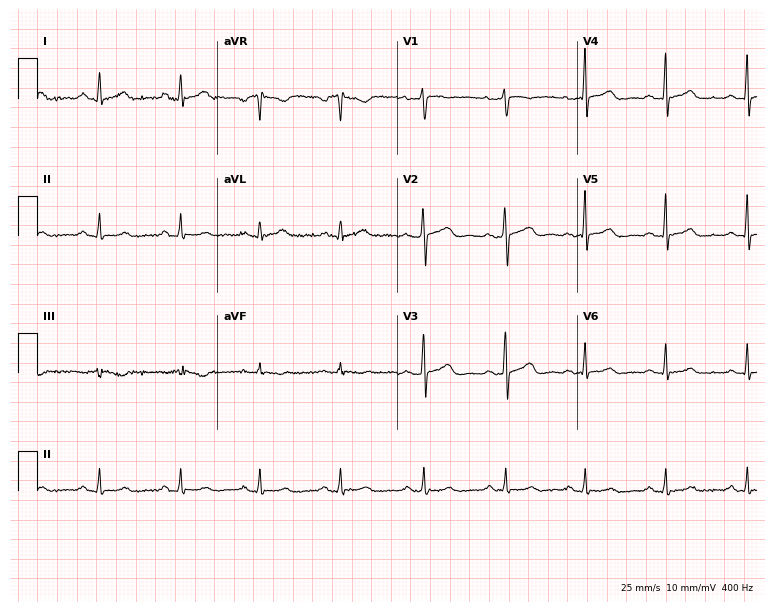
12-lead ECG from a 46-year-old female (7.3-second recording at 400 Hz). No first-degree AV block, right bundle branch block, left bundle branch block, sinus bradycardia, atrial fibrillation or sinus tachycardia recorded for this tracing. Findings outside these six are not listed.